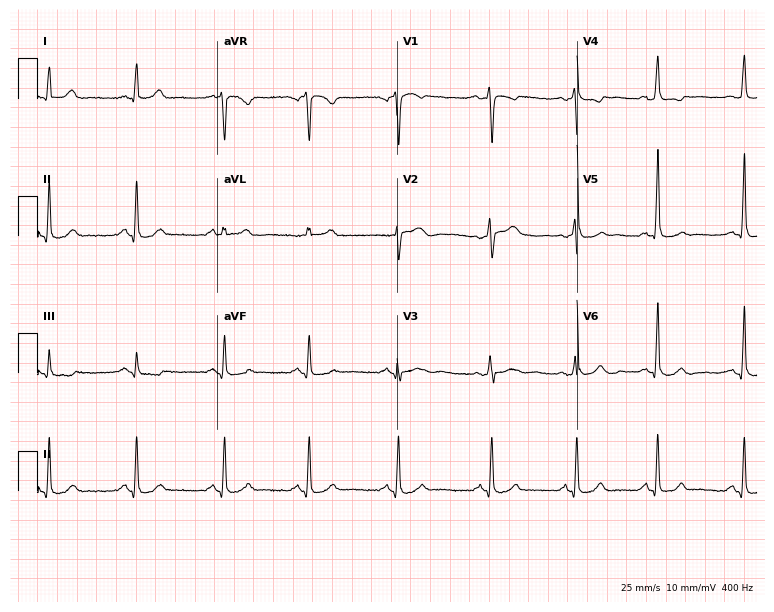
12-lead ECG from a female, 48 years old. Labelled as a normal ECG.